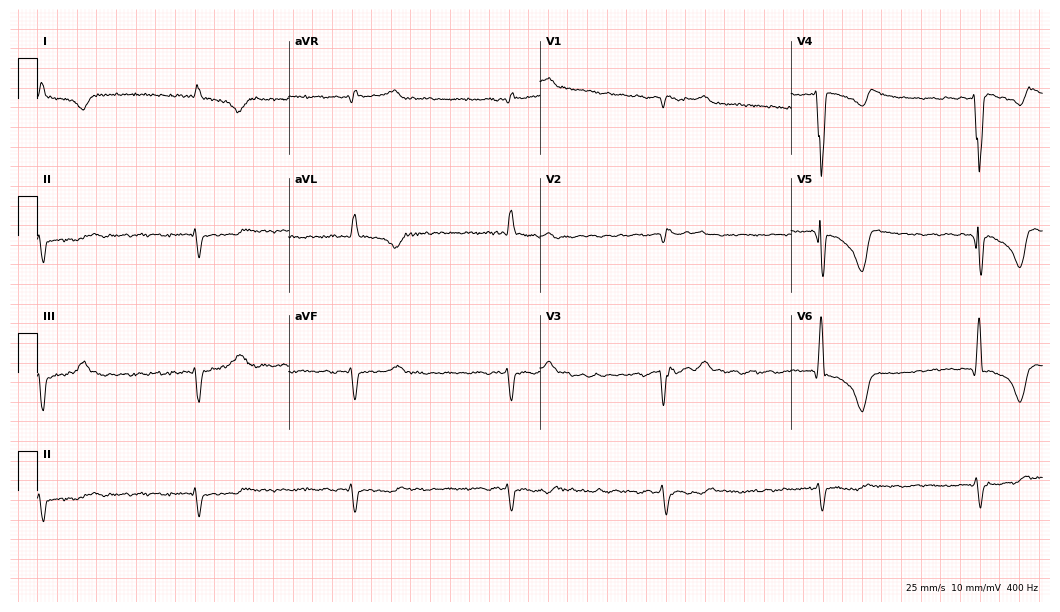
Standard 12-lead ECG recorded from a 71-year-old male (10.2-second recording at 400 Hz). The tracing shows atrial fibrillation (AF).